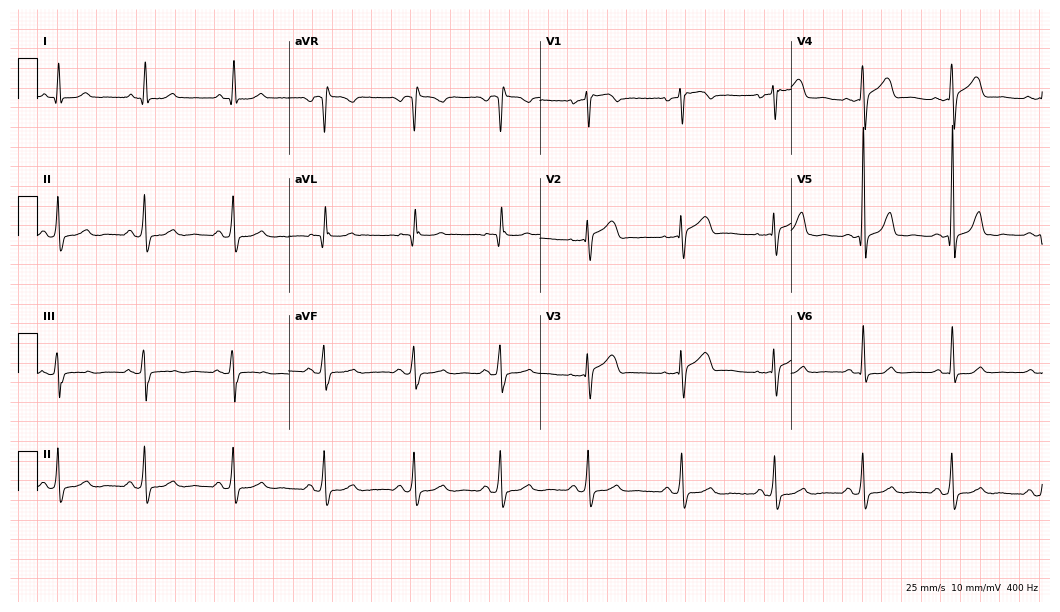
12-lead ECG from a male patient, 54 years old. Screened for six findings — first-degree AV block, right bundle branch block, left bundle branch block, sinus bradycardia, atrial fibrillation, sinus tachycardia — none is recorded. Only these six findings were labelled.